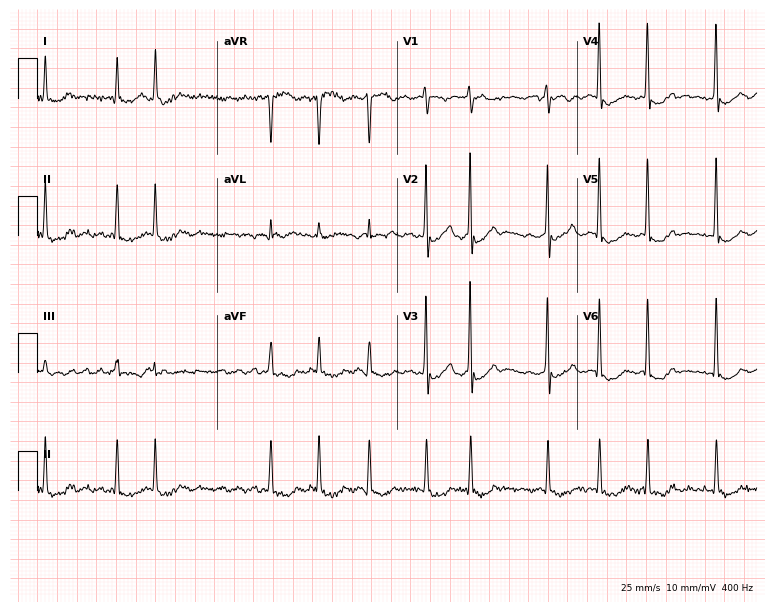
12-lead ECG from a 68-year-old woman (7.3-second recording at 400 Hz). Shows atrial fibrillation (AF).